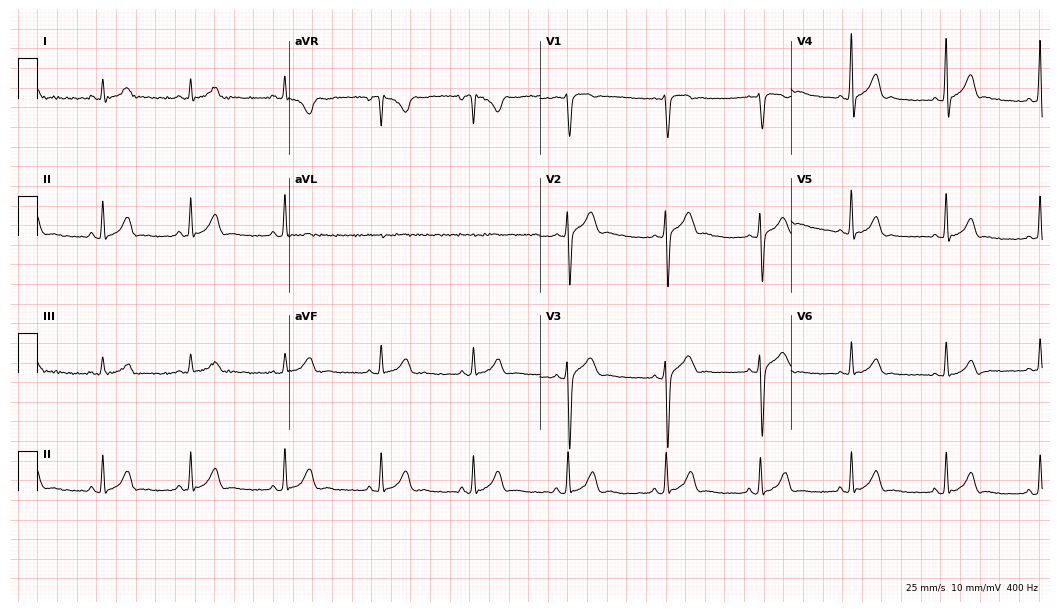
Electrocardiogram (10.2-second recording at 400 Hz), a 31-year-old man. Overall reading on record: normal ECG.